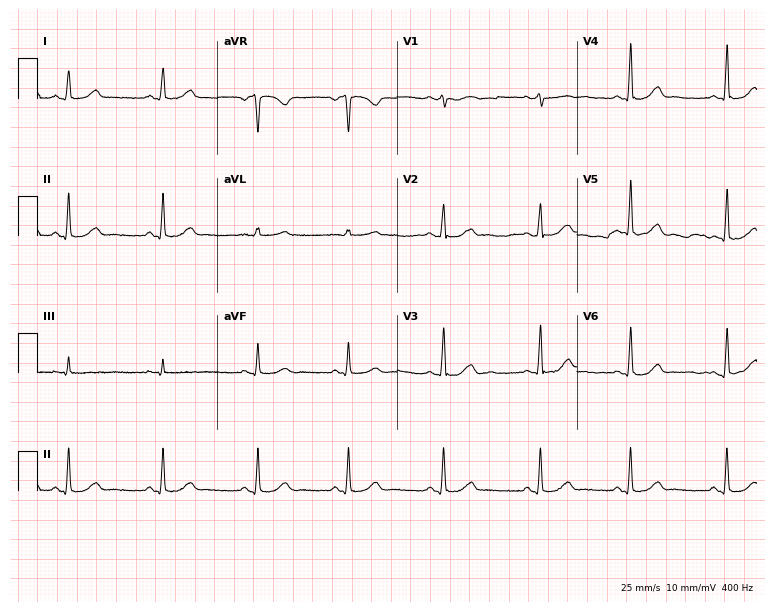
ECG — a 32-year-old female patient. Labelled as a normal ECG.